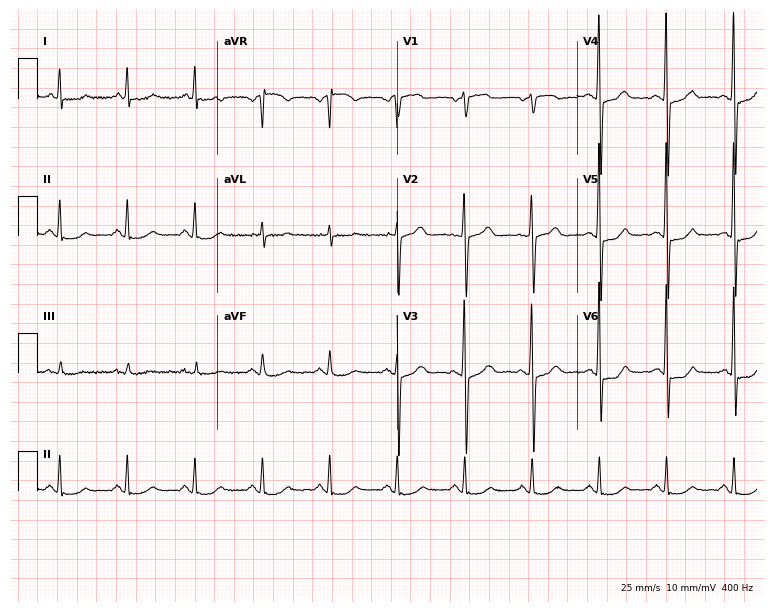
Resting 12-lead electrocardiogram. Patient: a man, 76 years old. None of these six findings is recorded: first-degree AV block, right bundle branch block (RBBB), left bundle branch block (LBBB), sinus bradycardia, atrial fibrillation (AF), sinus tachycardia.